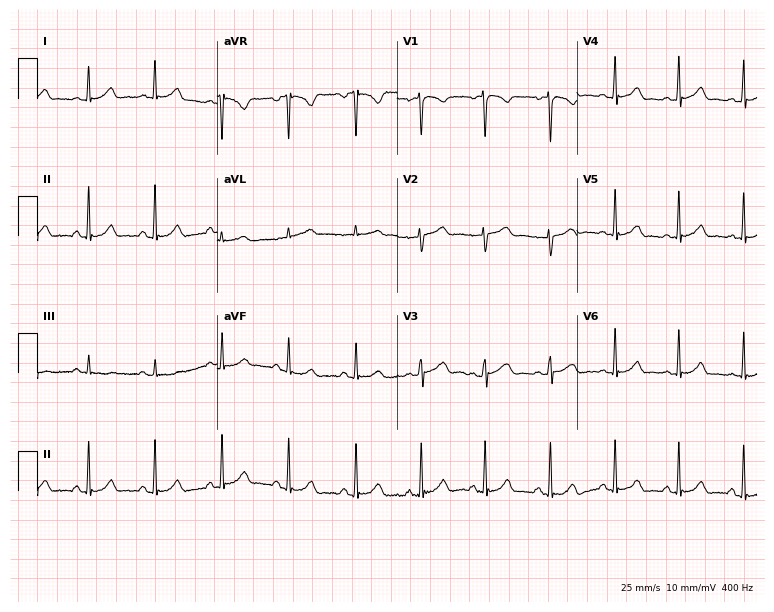
Electrocardiogram (7.3-second recording at 400 Hz), a 21-year-old female. Overall reading on record: normal ECG.